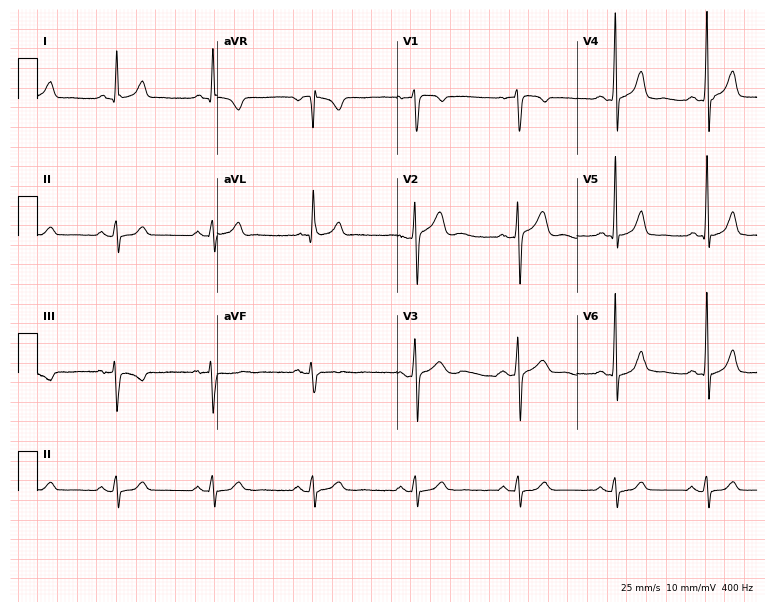
12-lead ECG from a 39-year-old man. Screened for six findings — first-degree AV block, right bundle branch block (RBBB), left bundle branch block (LBBB), sinus bradycardia, atrial fibrillation (AF), sinus tachycardia — none is recorded.